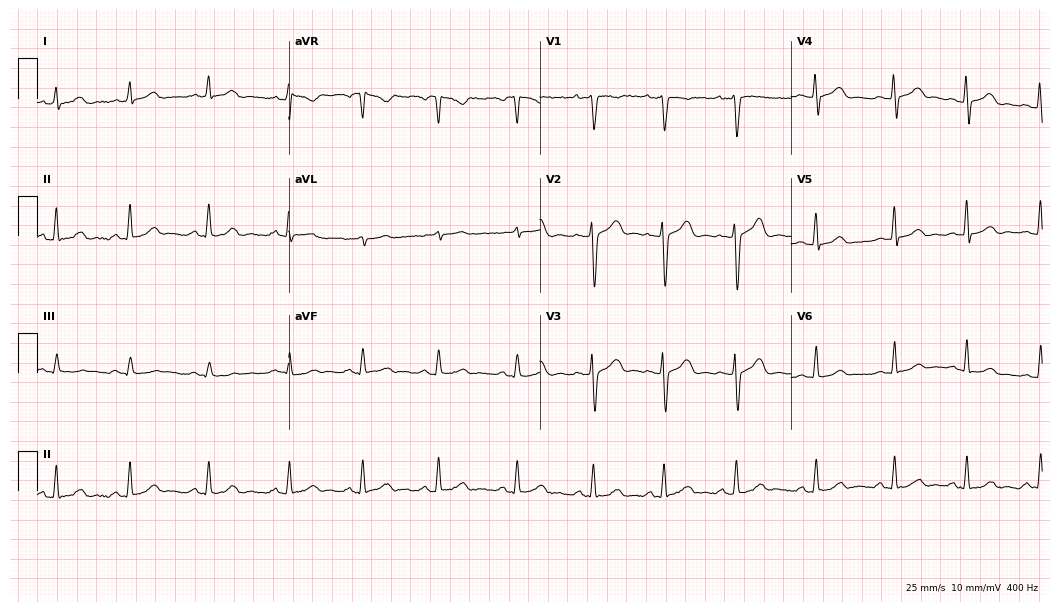
12-lead ECG from a woman, 27 years old. Recorded interpretation: within normal limits.